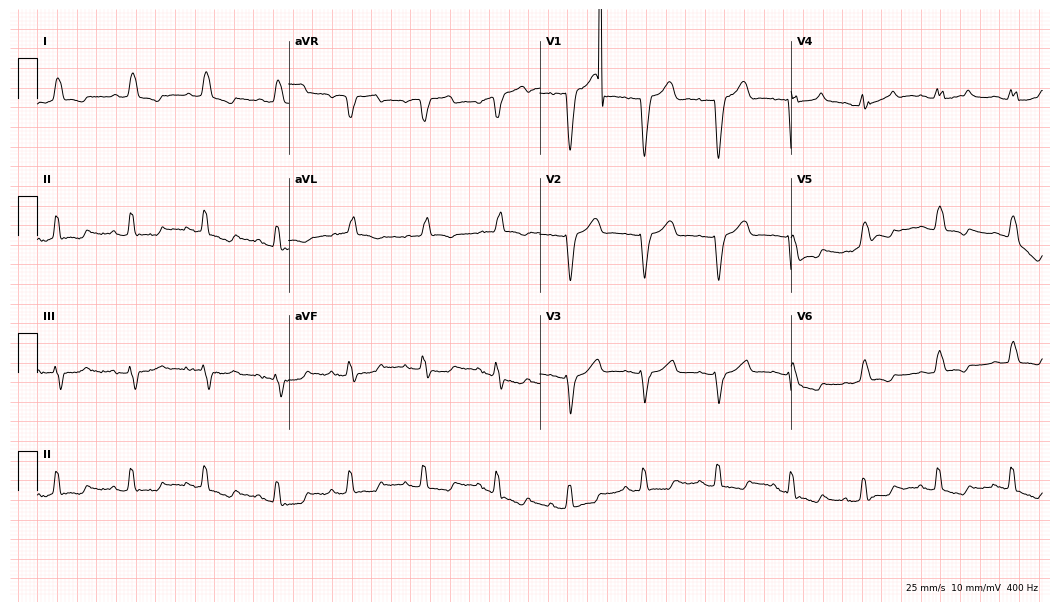
12-lead ECG from an 85-year-old female patient. Findings include left bundle branch block (LBBB).